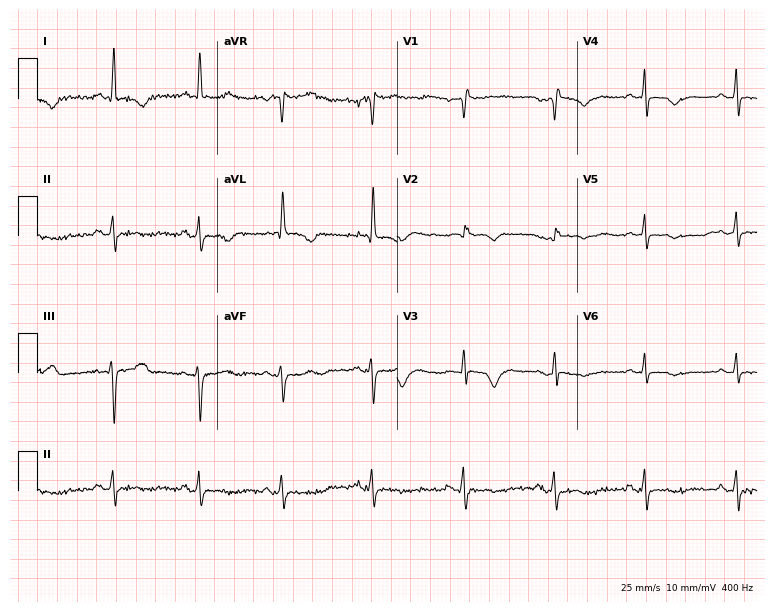
Standard 12-lead ECG recorded from a female, 68 years old (7.3-second recording at 400 Hz). None of these six findings is recorded: first-degree AV block, right bundle branch block (RBBB), left bundle branch block (LBBB), sinus bradycardia, atrial fibrillation (AF), sinus tachycardia.